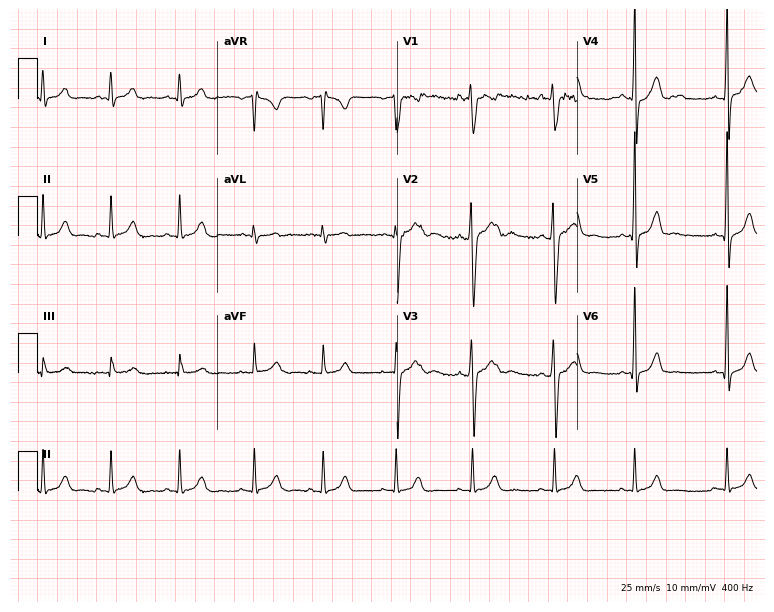
Resting 12-lead electrocardiogram (7.3-second recording at 400 Hz). Patient: an 18-year-old male. None of these six findings is recorded: first-degree AV block, right bundle branch block (RBBB), left bundle branch block (LBBB), sinus bradycardia, atrial fibrillation (AF), sinus tachycardia.